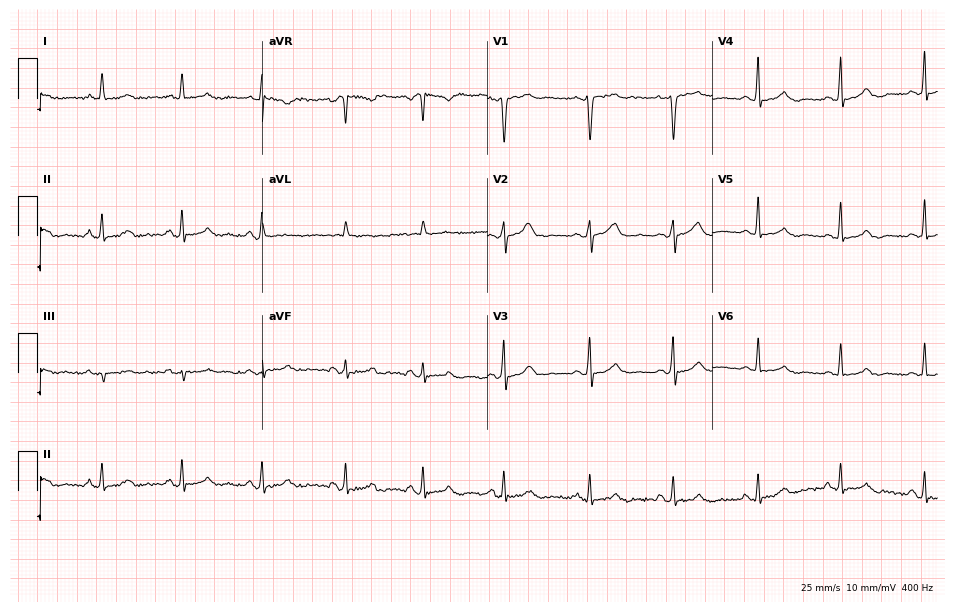
Electrocardiogram, a female patient, 37 years old. Overall reading on record: normal ECG.